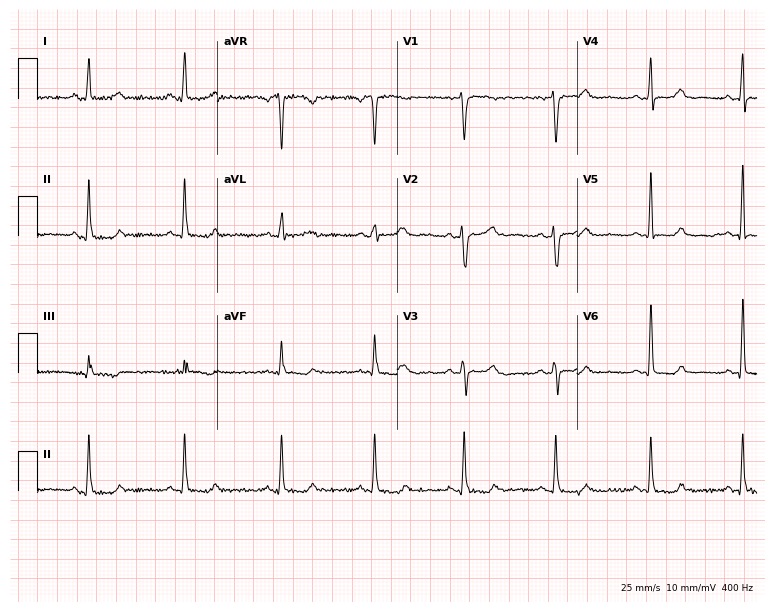
12-lead ECG from a female patient, 54 years old (7.3-second recording at 400 Hz). Recorded interpretation: within normal limits.